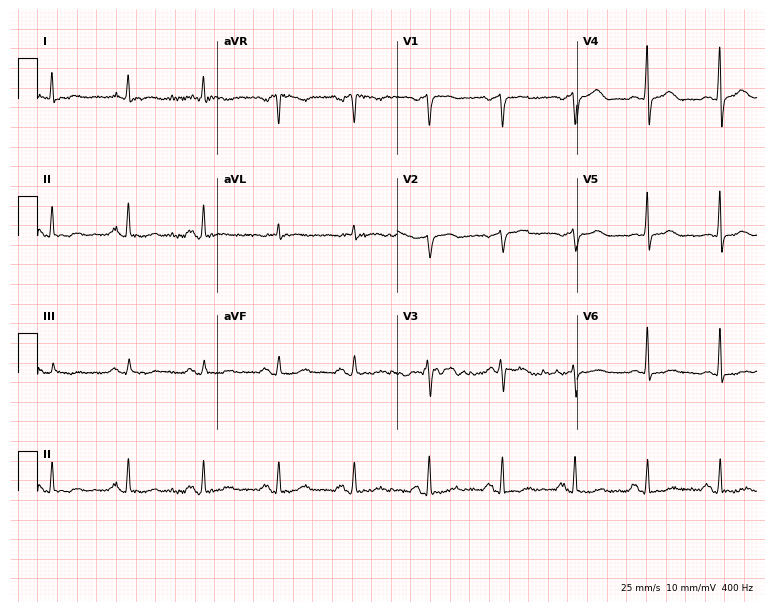
12-lead ECG from a 72-year-old male (7.3-second recording at 400 Hz). No first-degree AV block, right bundle branch block, left bundle branch block, sinus bradycardia, atrial fibrillation or sinus tachycardia recorded for this tracing. Only these six findings were labelled.